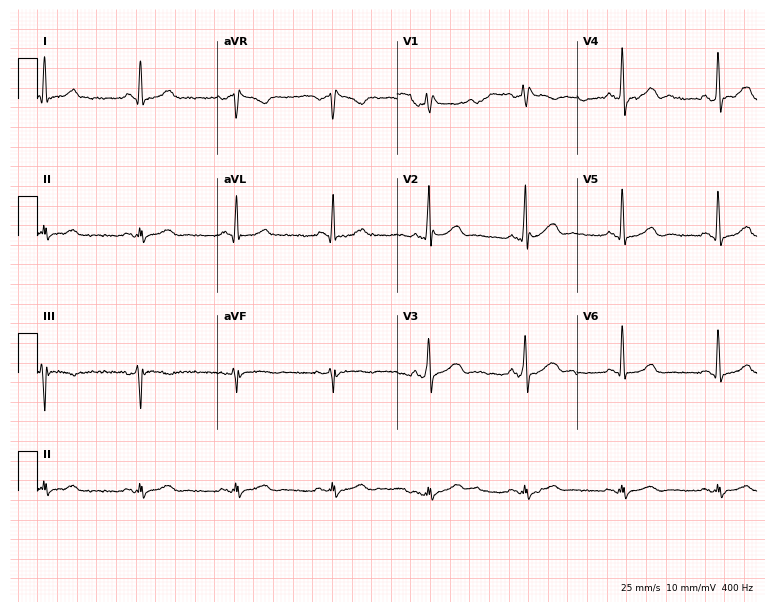
Resting 12-lead electrocardiogram (7.3-second recording at 400 Hz). Patient: a 73-year-old male. None of these six findings is recorded: first-degree AV block, right bundle branch block, left bundle branch block, sinus bradycardia, atrial fibrillation, sinus tachycardia. Findings outside these six are not listed.